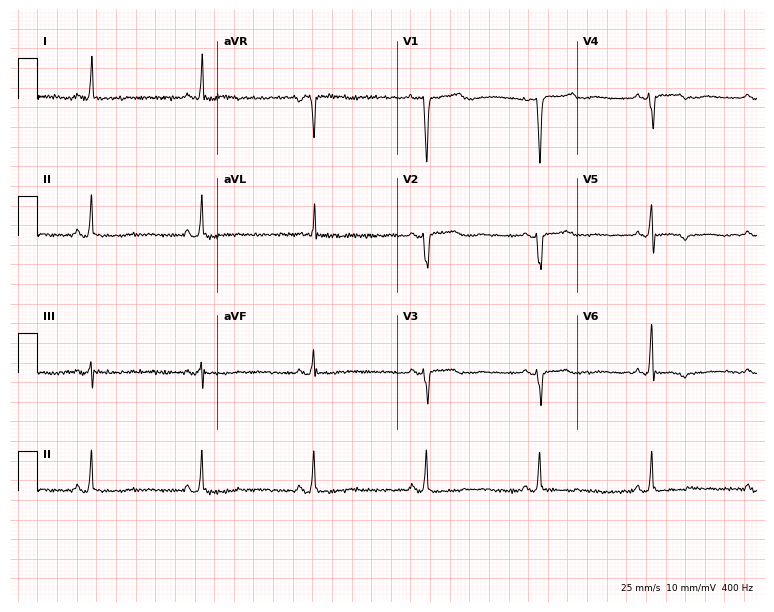
Electrocardiogram (7.3-second recording at 400 Hz), a female patient, 58 years old. Of the six screened findings (first-degree AV block, right bundle branch block, left bundle branch block, sinus bradycardia, atrial fibrillation, sinus tachycardia), none is recorded.